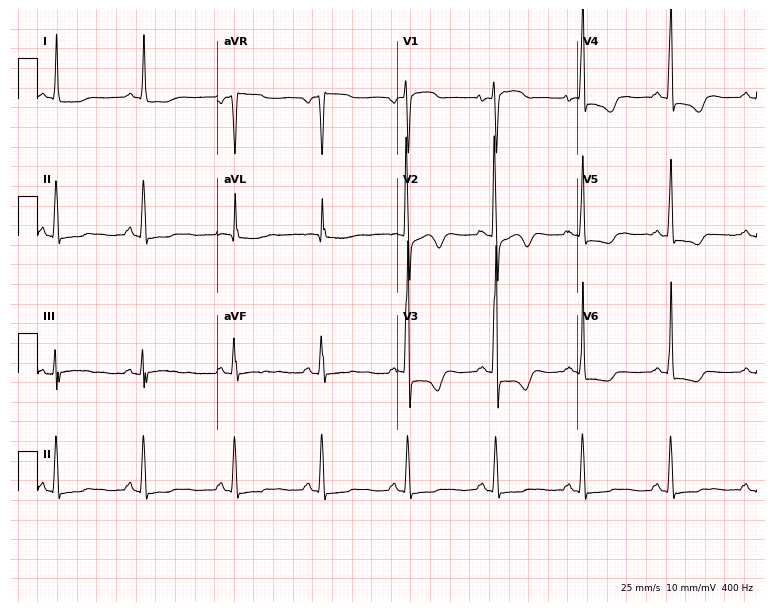
Resting 12-lead electrocardiogram. Patient: a woman, 31 years old. None of these six findings is recorded: first-degree AV block, right bundle branch block (RBBB), left bundle branch block (LBBB), sinus bradycardia, atrial fibrillation (AF), sinus tachycardia.